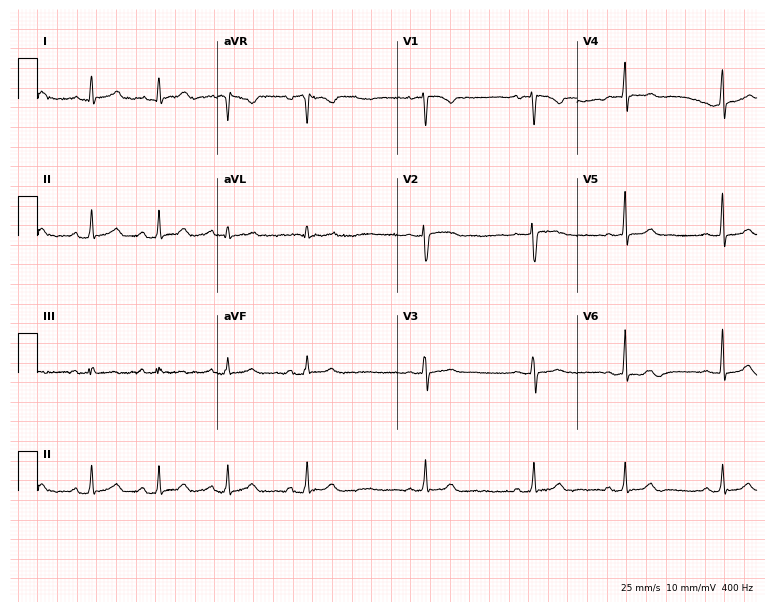
12-lead ECG (7.3-second recording at 400 Hz) from a 27-year-old woman. Labelled as a normal ECG.